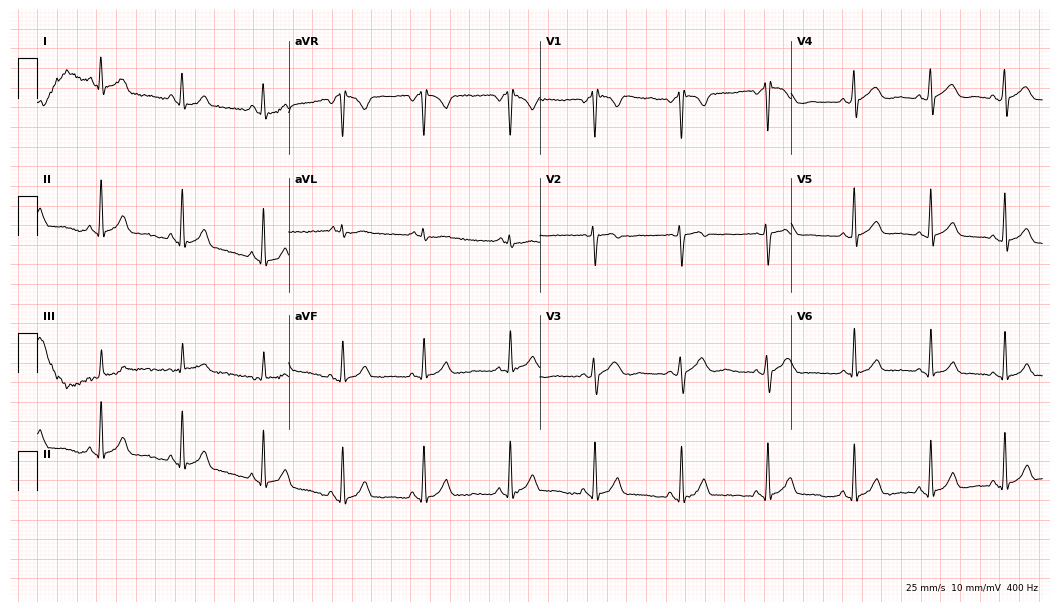
Resting 12-lead electrocardiogram. Patient: a 36-year-old woman. Read as a normal ECG.